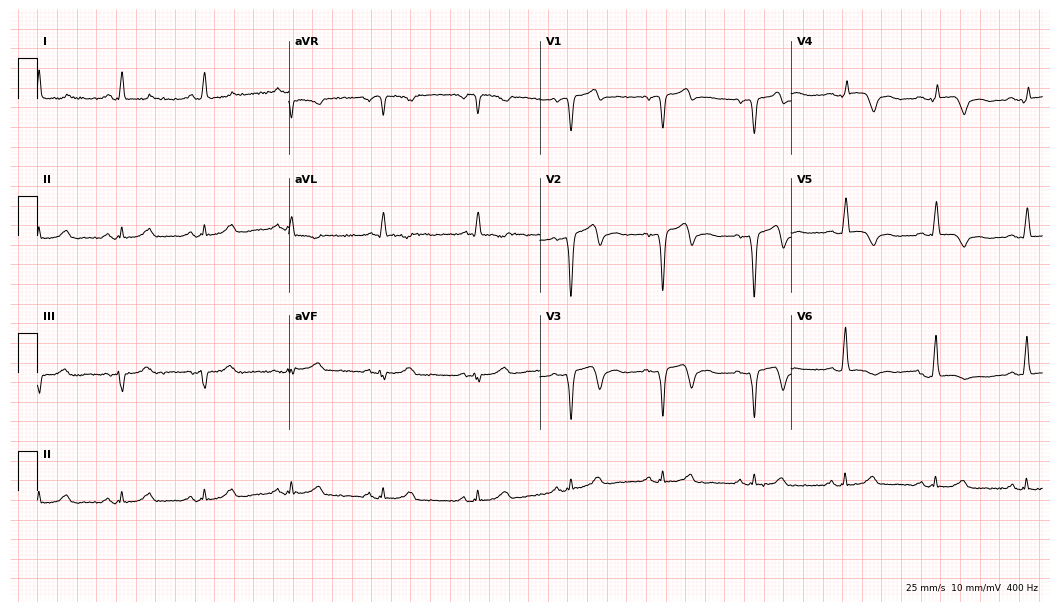
ECG (10.2-second recording at 400 Hz) — a man, 65 years old. Screened for six findings — first-degree AV block, right bundle branch block (RBBB), left bundle branch block (LBBB), sinus bradycardia, atrial fibrillation (AF), sinus tachycardia — none is recorded.